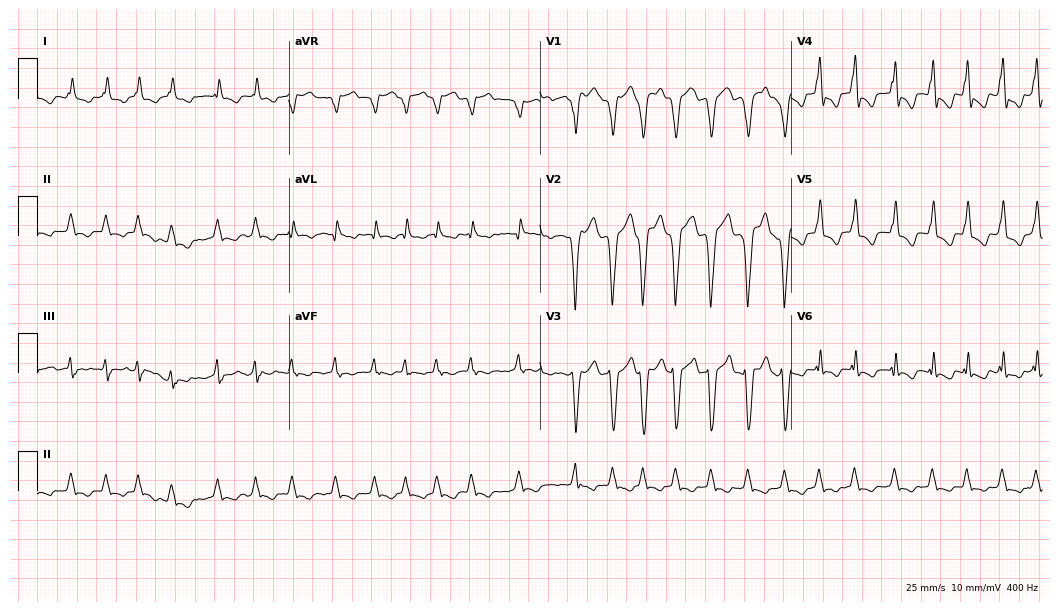
Standard 12-lead ECG recorded from a woman, 75 years old. None of these six findings is recorded: first-degree AV block, right bundle branch block, left bundle branch block, sinus bradycardia, atrial fibrillation, sinus tachycardia. Findings outside these six are not listed.